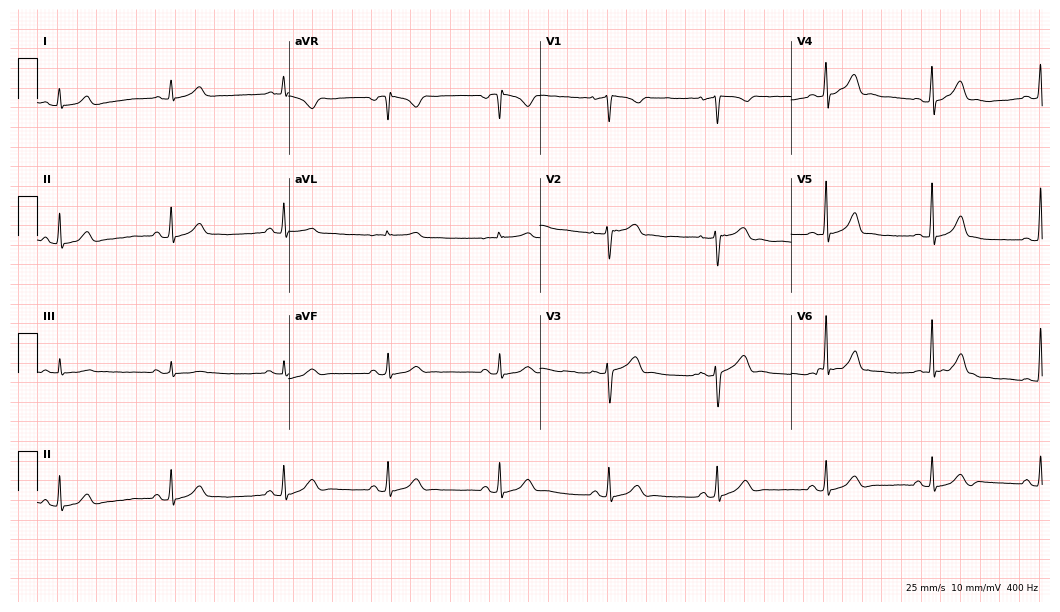
Standard 12-lead ECG recorded from a female patient, 33 years old. Read as a normal ECG.